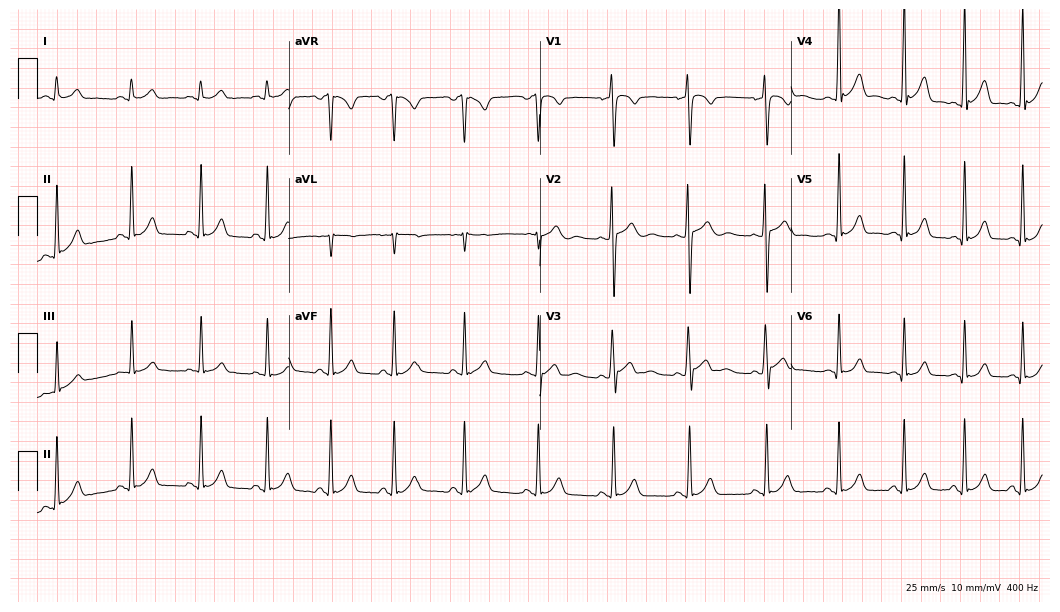
12-lead ECG from a 21-year-old woman (10.2-second recording at 400 Hz). Recorded interpretation: within normal limits.